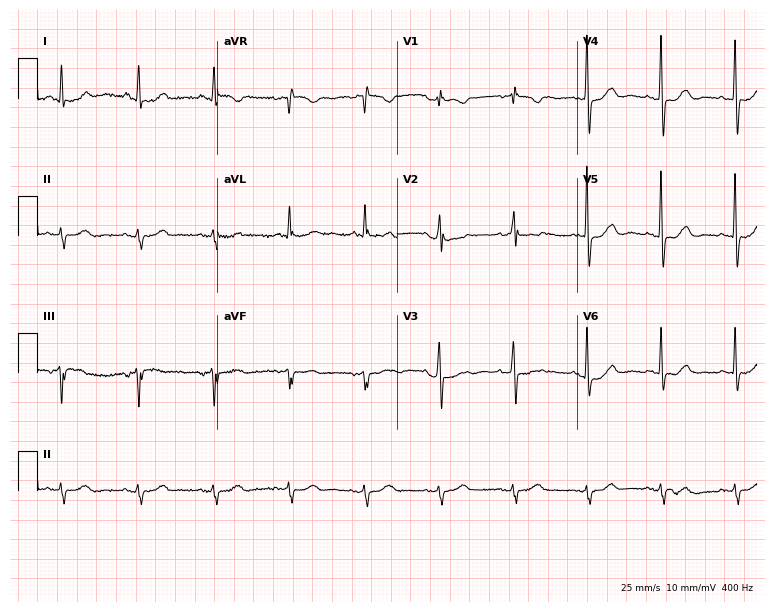
Electrocardiogram, an 85-year-old female patient. Of the six screened findings (first-degree AV block, right bundle branch block (RBBB), left bundle branch block (LBBB), sinus bradycardia, atrial fibrillation (AF), sinus tachycardia), none is recorded.